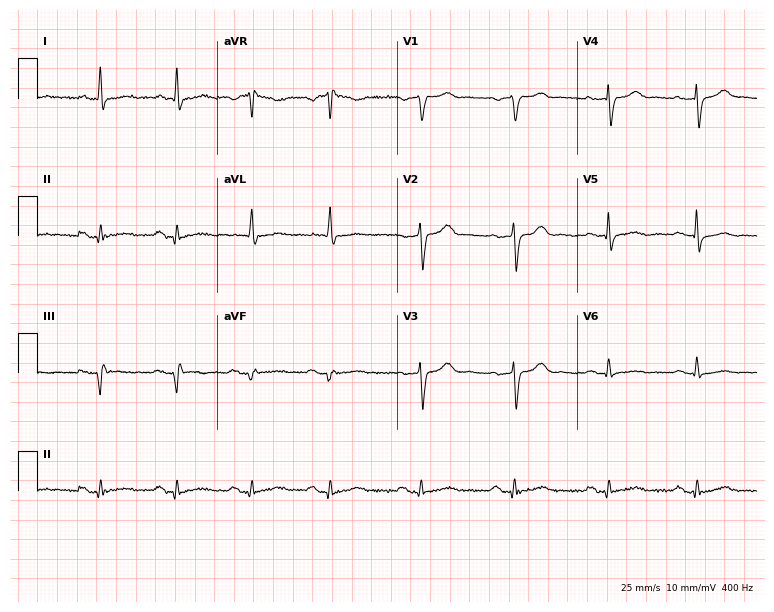
Resting 12-lead electrocardiogram. Patient: a 64-year-old woman. None of these six findings is recorded: first-degree AV block, right bundle branch block (RBBB), left bundle branch block (LBBB), sinus bradycardia, atrial fibrillation (AF), sinus tachycardia. Other findings, if any, are not listed.